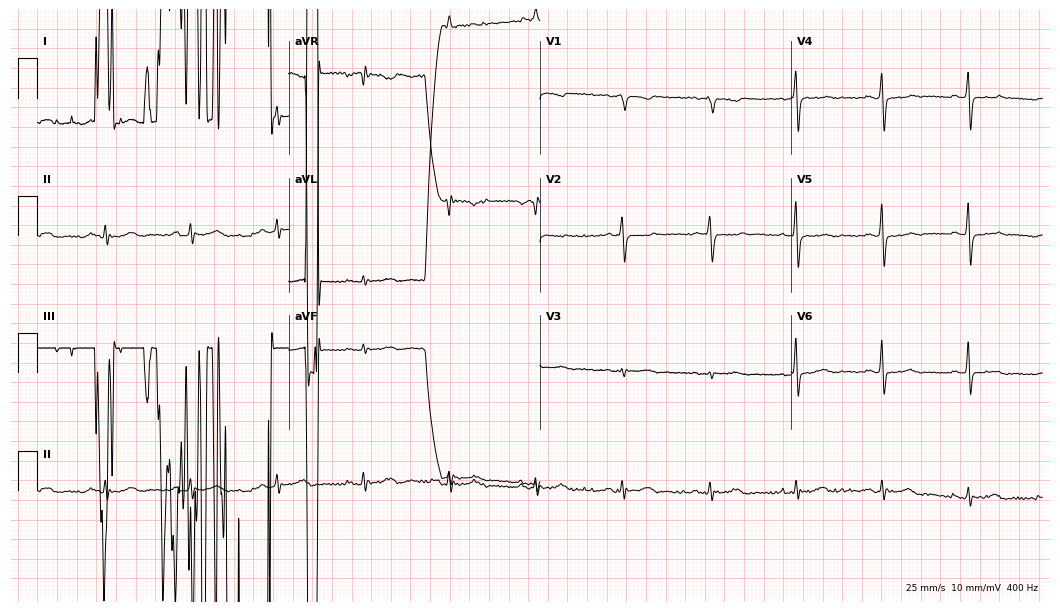
Resting 12-lead electrocardiogram. Patient: an 80-year-old woman. None of these six findings is recorded: first-degree AV block, right bundle branch block, left bundle branch block, sinus bradycardia, atrial fibrillation, sinus tachycardia.